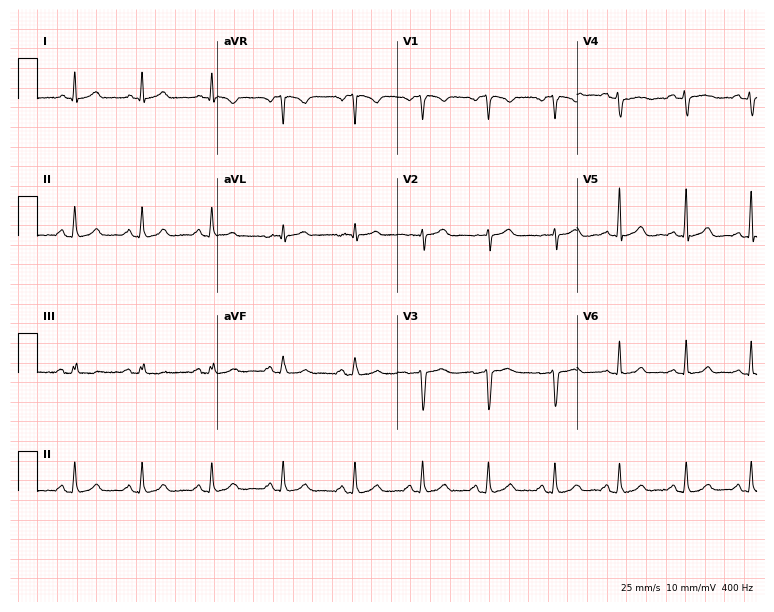
Standard 12-lead ECG recorded from a 45-year-old woman (7.3-second recording at 400 Hz). None of these six findings is recorded: first-degree AV block, right bundle branch block (RBBB), left bundle branch block (LBBB), sinus bradycardia, atrial fibrillation (AF), sinus tachycardia.